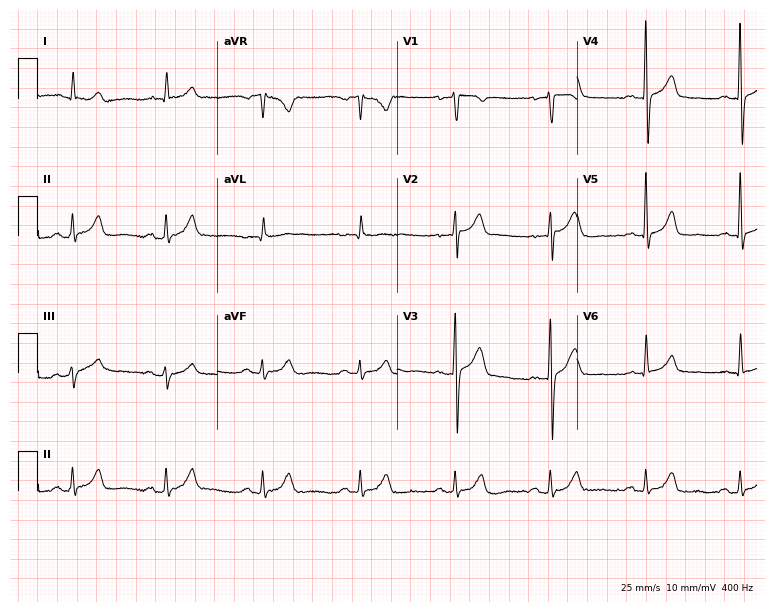
12-lead ECG (7.3-second recording at 400 Hz) from a male, 72 years old. Screened for six findings — first-degree AV block, right bundle branch block, left bundle branch block, sinus bradycardia, atrial fibrillation, sinus tachycardia — none is recorded.